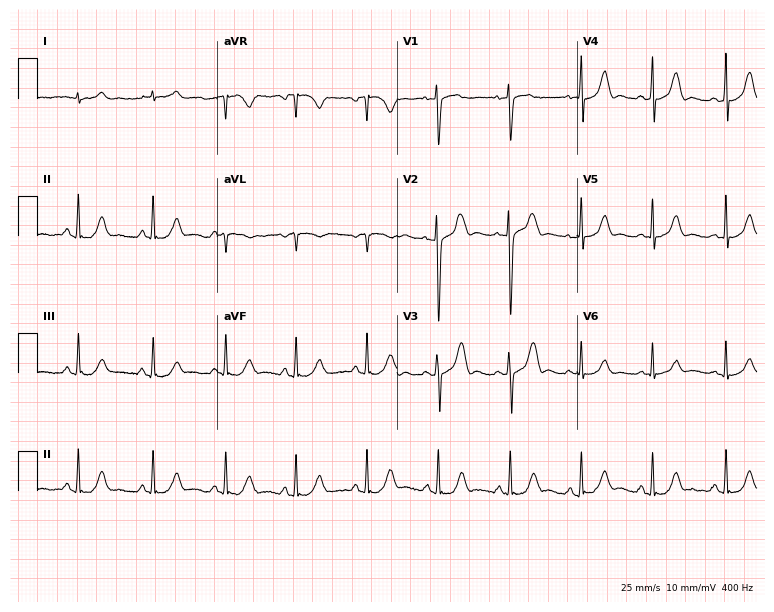
Resting 12-lead electrocardiogram. Patient: a male, 38 years old. Read as a normal ECG.